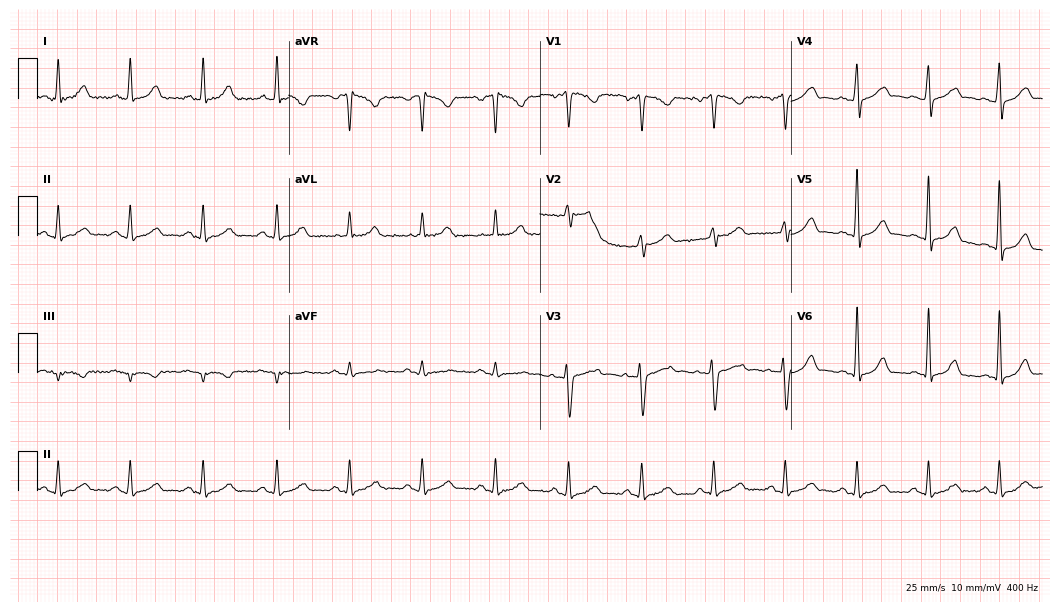
ECG — a man, 38 years old. Labelled as a normal ECG.